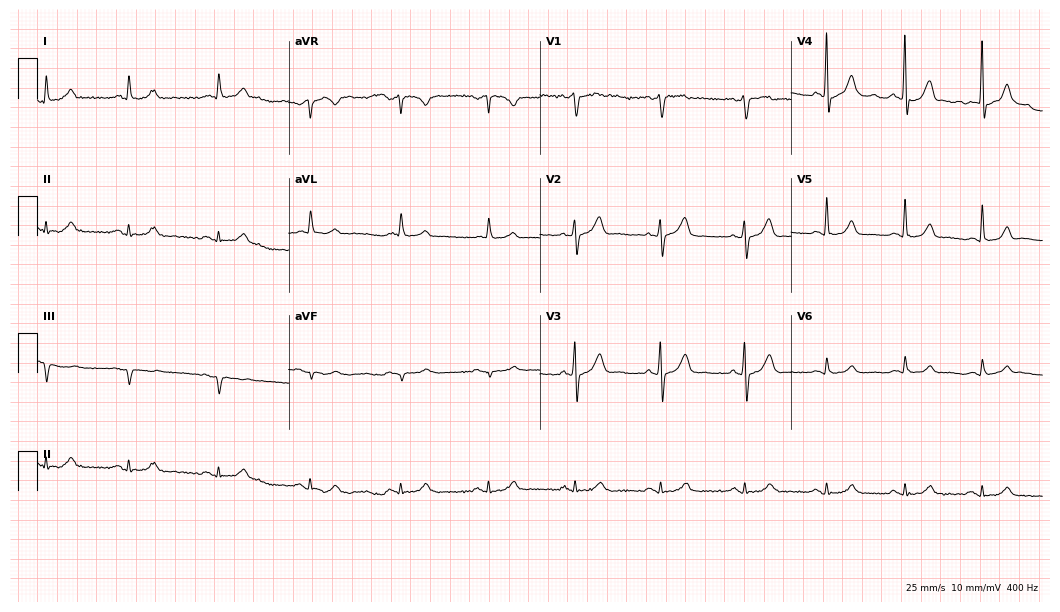
Standard 12-lead ECG recorded from a male, 55 years old. Read as a normal ECG.